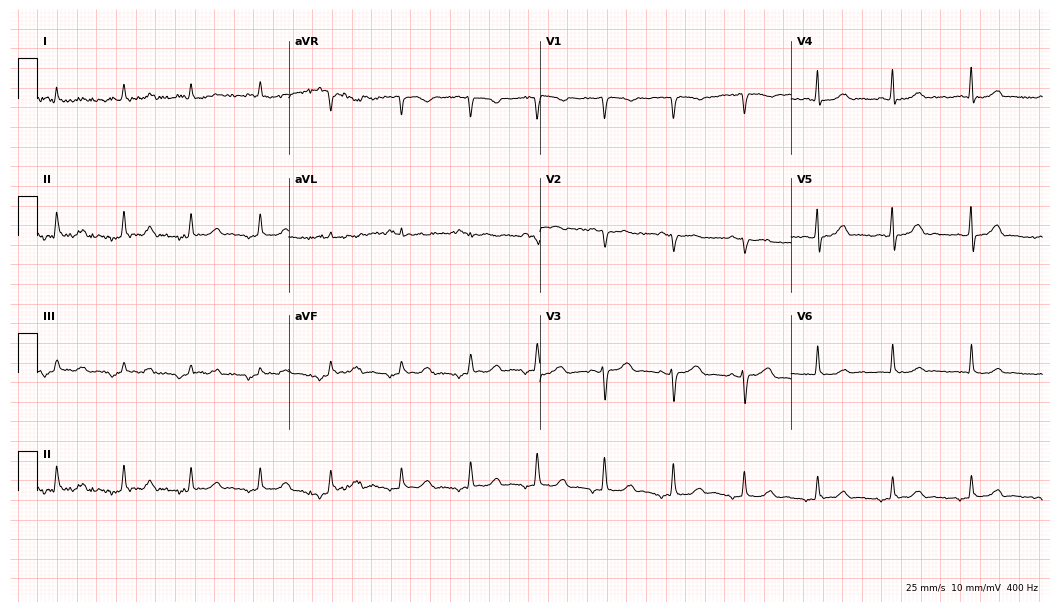
ECG (10.2-second recording at 400 Hz) — a female, 77 years old. Screened for six findings — first-degree AV block, right bundle branch block (RBBB), left bundle branch block (LBBB), sinus bradycardia, atrial fibrillation (AF), sinus tachycardia — none is recorded. Findings outside these six are not listed.